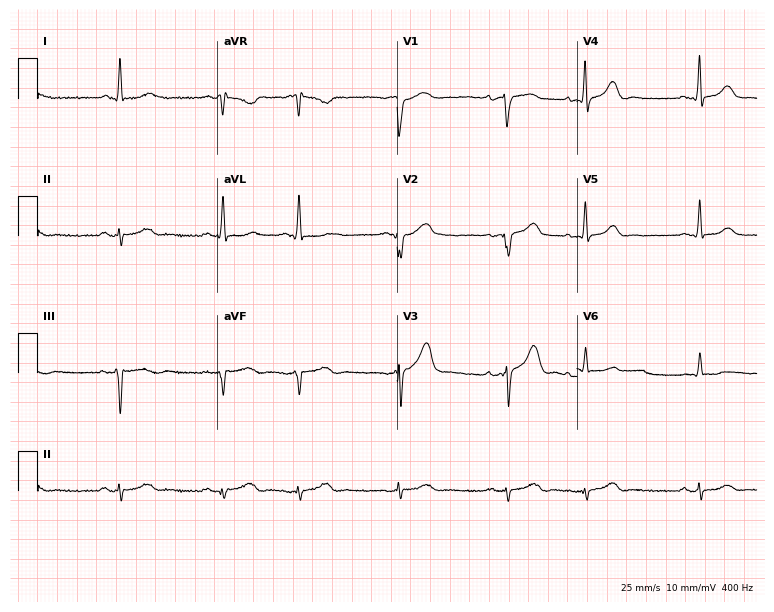
ECG (7.3-second recording at 400 Hz) — a female, 81 years old. Screened for six findings — first-degree AV block, right bundle branch block, left bundle branch block, sinus bradycardia, atrial fibrillation, sinus tachycardia — none is recorded. Findings outside these six are not listed.